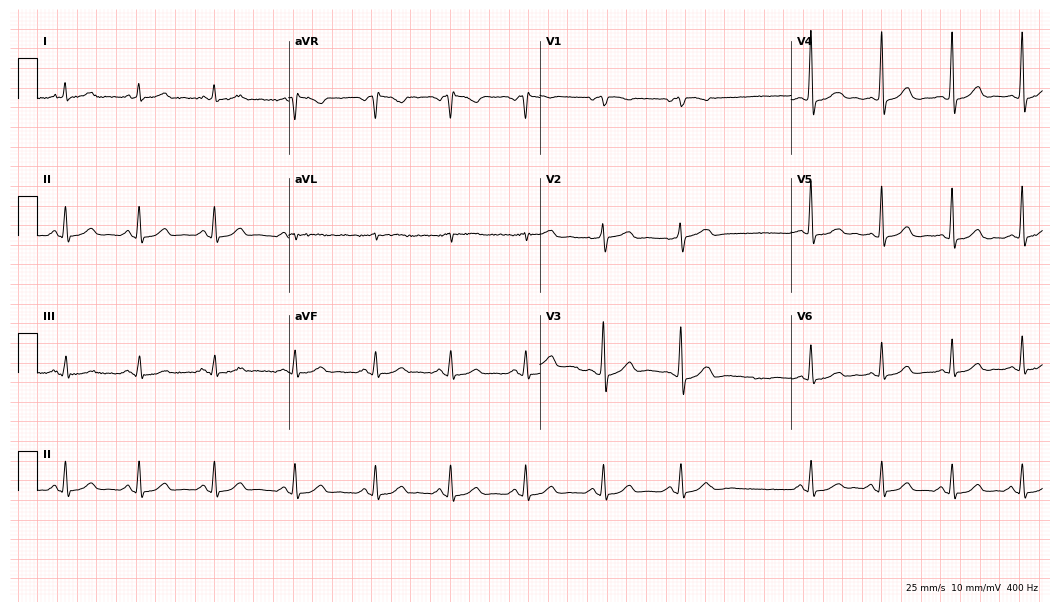
Standard 12-lead ECG recorded from a 60-year-old woman. Read as a normal ECG.